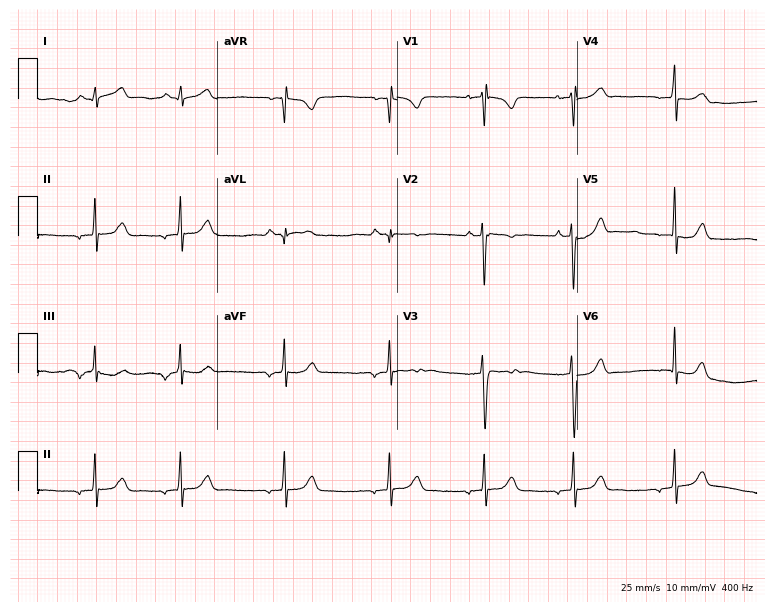
12-lead ECG (7.3-second recording at 400 Hz) from a woman, 18 years old. Screened for six findings — first-degree AV block, right bundle branch block, left bundle branch block, sinus bradycardia, atrial fibrillation, sinus tachycardia — none is recorded. Findings outside these six are not listed.